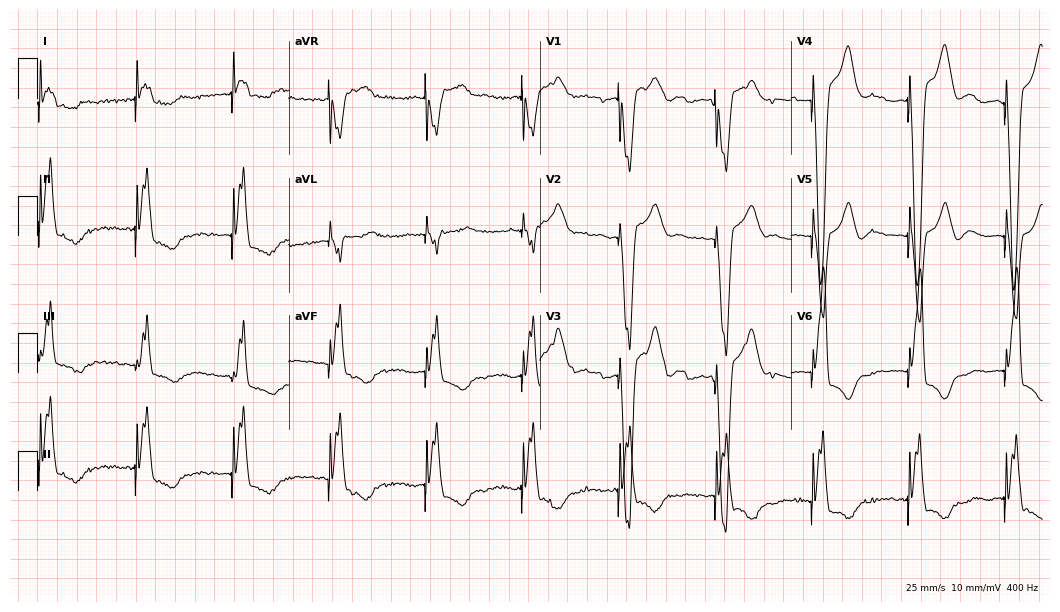
Standard 12-lead ECG recorded from a 74-year-old female. None of these six findings is recorded: first-degree AV block, right bundle branch block, left bundle branch block, sinus bradycardia, atrial fibrillation, sinus tachycardia.